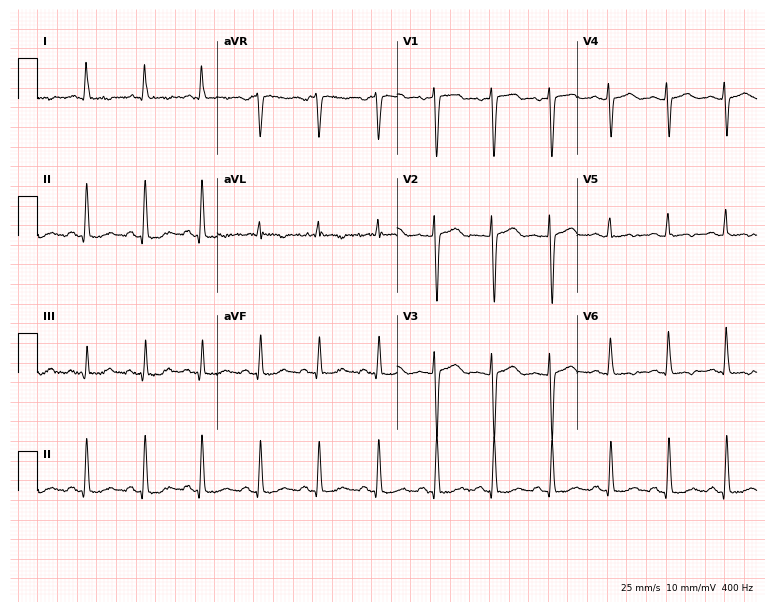
Standard 12-lead ECG recorded from a female patient, 57 years old. The tracing shows sinus tachycardia (a sinus rate of 100 beats per minute or more).